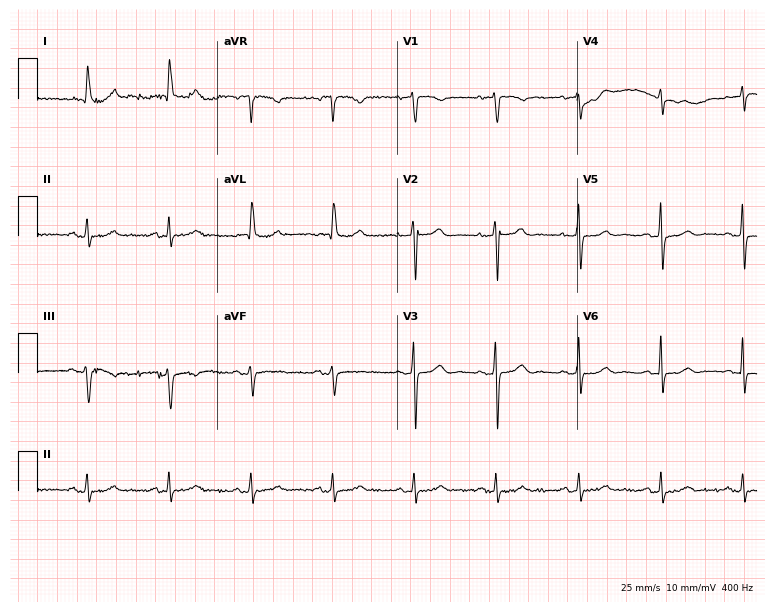
Resting 12-lead electrocardiogram. Patient: a female, 83 years old. None of these six findings is recorded: first-degree AV block, right bundle branch block (RBBB), left bundle branch block (LBBB), sinus bradycardia, atrial fibrillation (AF), sinus tachycardia.